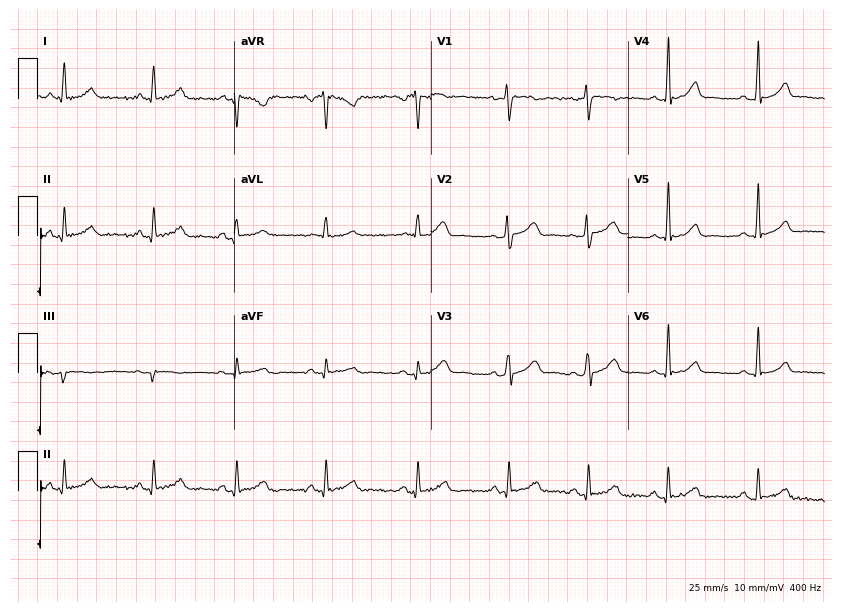
Electrocardiogram (8-second recording at 400 Hz), a woman, 28 years old. Overall reading on record: normal ECG.